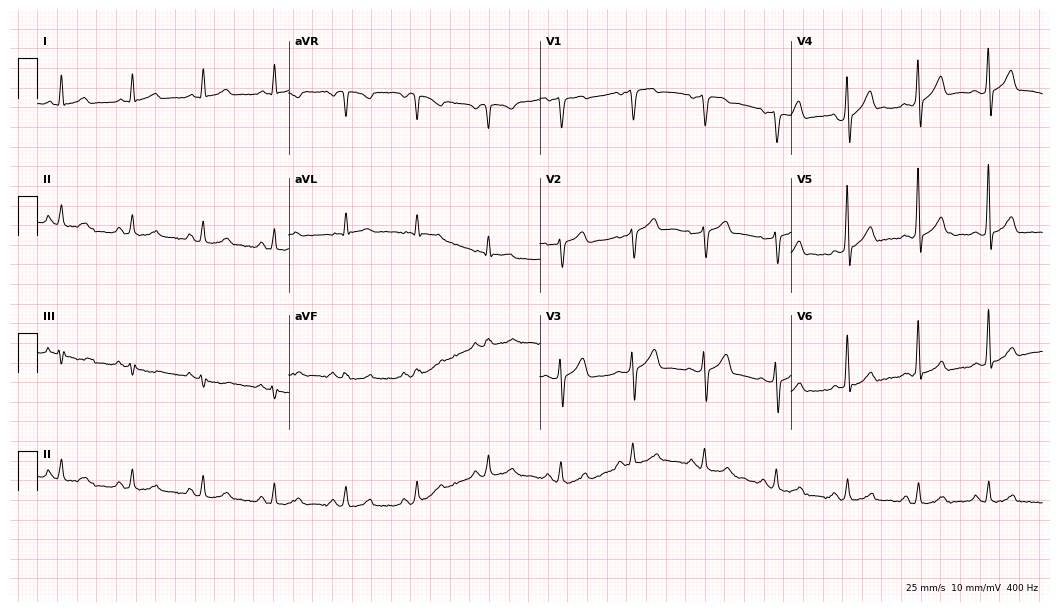
Electrocardiogram (10.2-second recording at 400 Hz), a man, 55 years old. Of the six screened findings (first-degree AV block, right bundle branch block, left bundle branch block, sinus bradycardia, atrial fibrillation, sinus tachycardia), none is recorded. Only these six findings were labelled.